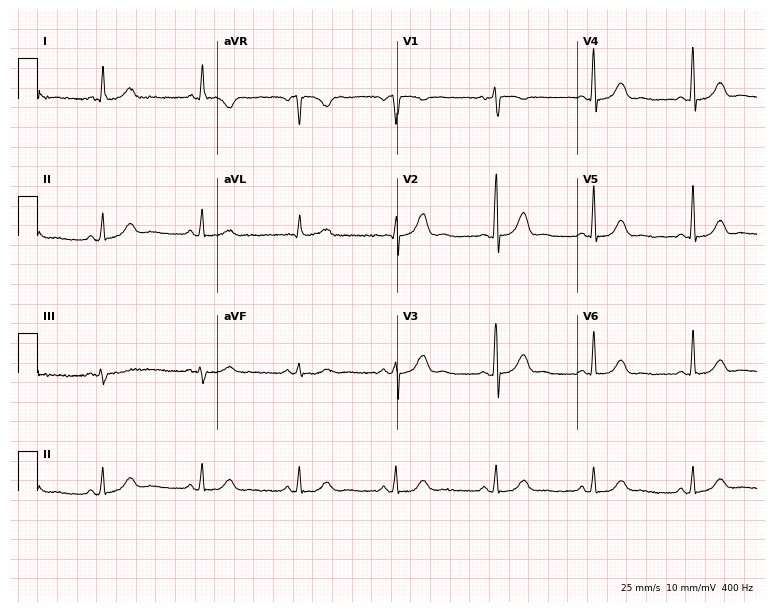
12-lead ECG from a 66-year-old female patient. Recorded interpretation: within normal limits.